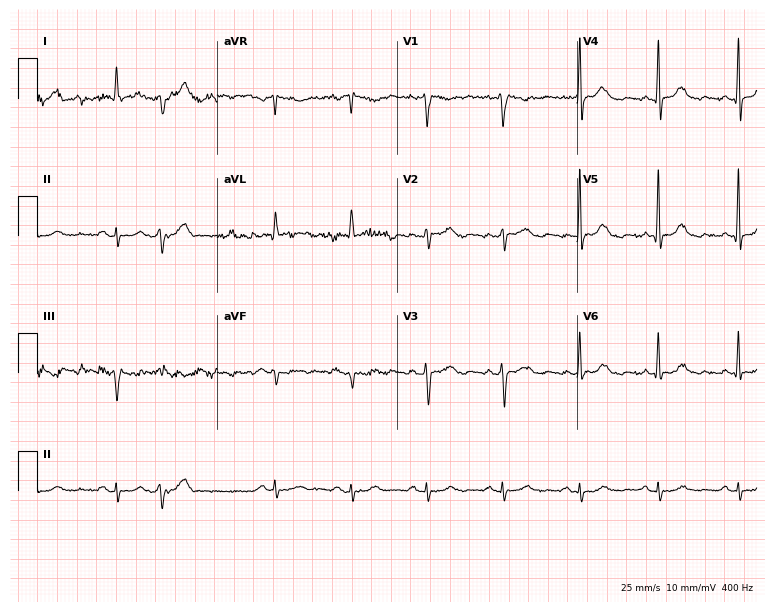
Resting 12-lead electrocardiogram (7.3-second recording at 400 Hz). Patient: a man, 71 years old. Read as a normal ECG.